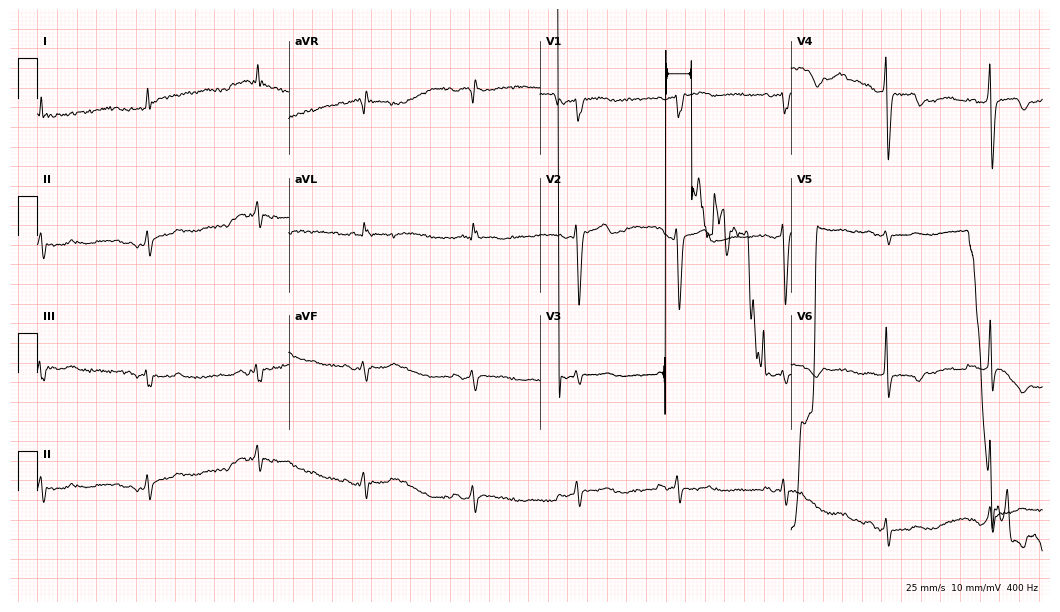
Electrocardiogram (10.2-second recording at 400 Hz), a female, 67 years old. Of the six screened findings (first-degree AV block, right bundle branch block (RBBB), left bundle branch block (LBBB), sinus bradycardia, atrial fibrillation (AF), sinus tachycardia), none is recorded. Only these six findings were labelled.